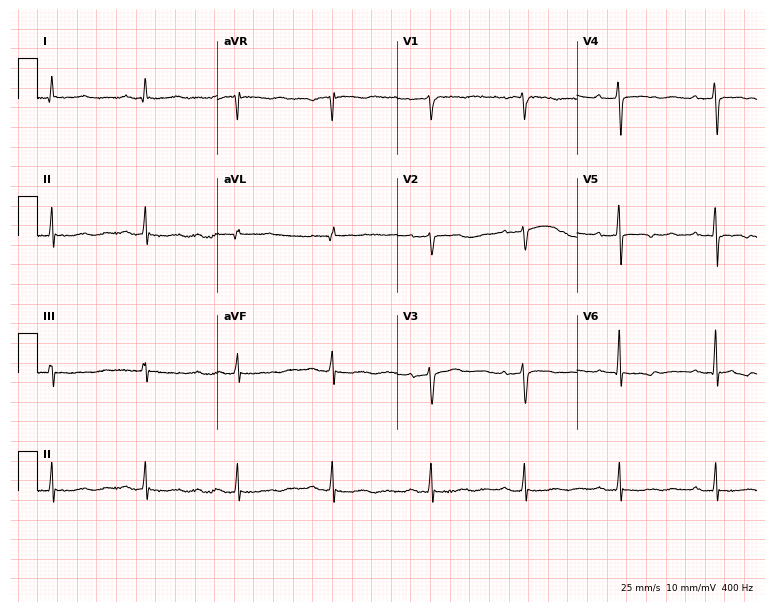
Electrocardiogram (7.3-second recording at 400 Hz), a female patient, 58 years old. Interpretation includes first-degree AV block.